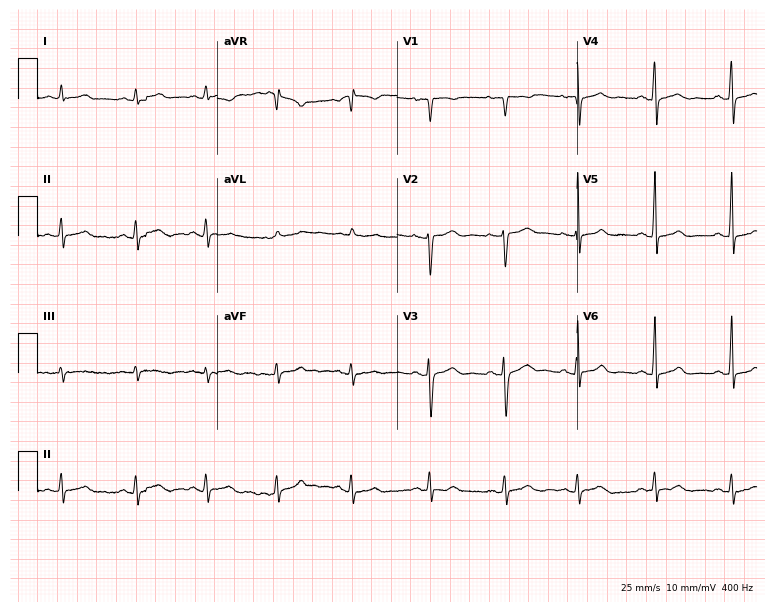
Standard 12-lead ECG recorded from a woman, 38 years old (7.3-second recording at 400 Hz). Read as a normal ECG.